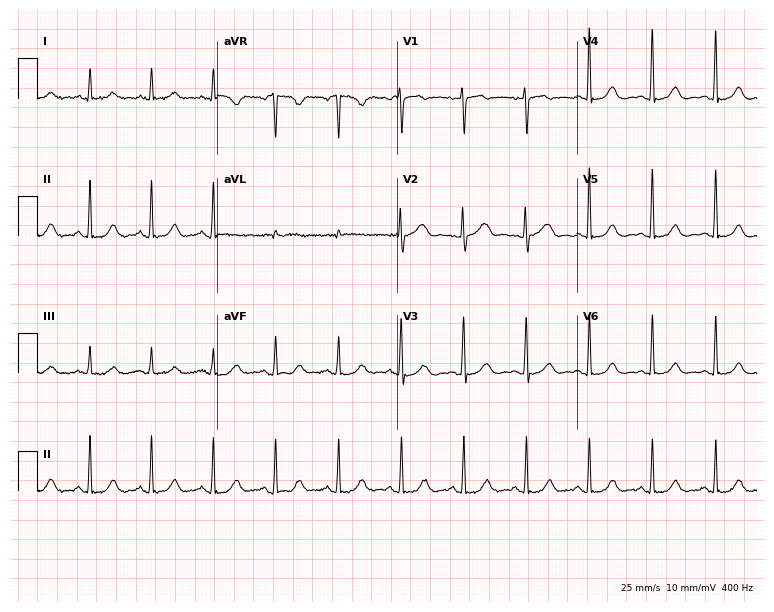
Resting 12-lead electrocardiogram (7.3-second recording at 400 Hz). Patient: a 66-year-old female. Read as a normal ECG.